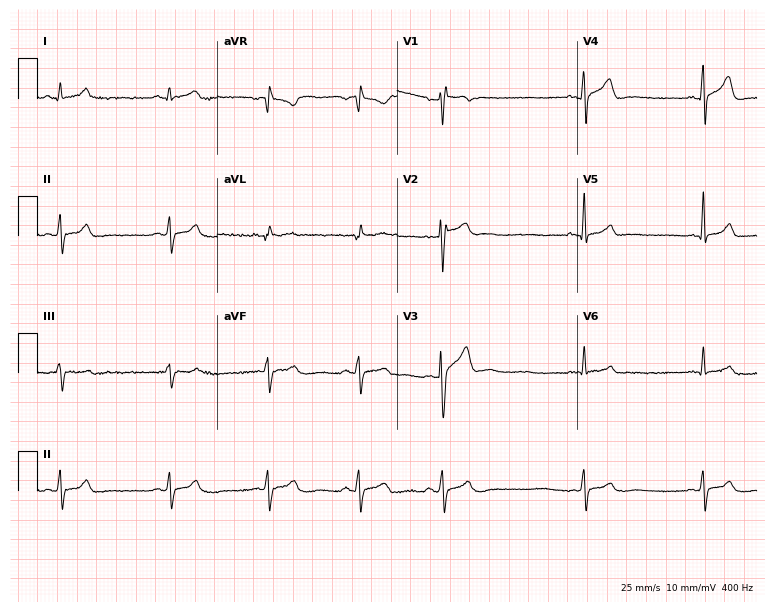
ECG (7.3-second recording at 400 Hz) — a male patient, 17 years old. Screened for six findings — first-degree AV block, right bundle branch block, left bundle branch block, sinus bradycardia, atrial fibrillation, sinus tachycardia — none is recorded.